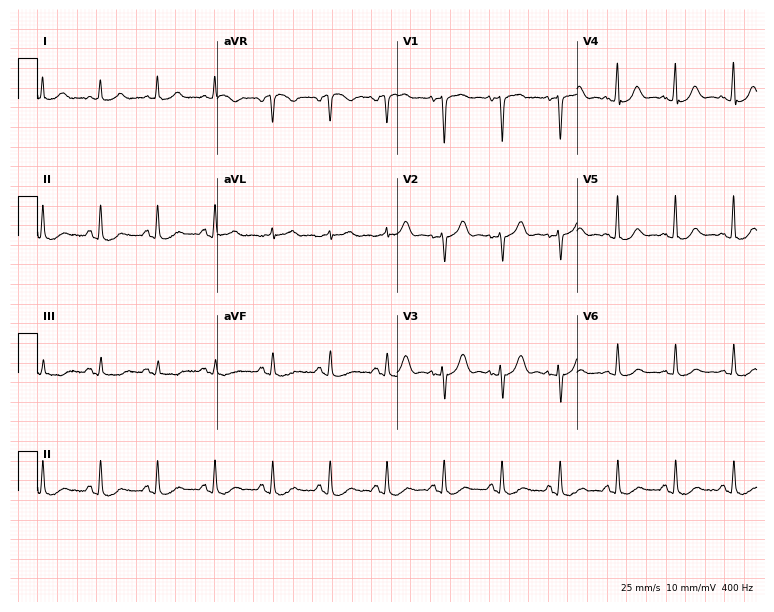
Standard 12-lead ECG recorded from an 81-year-old man. The tracing shows sinus tachycardia (a sinus rate of 100 beats per minute or more).